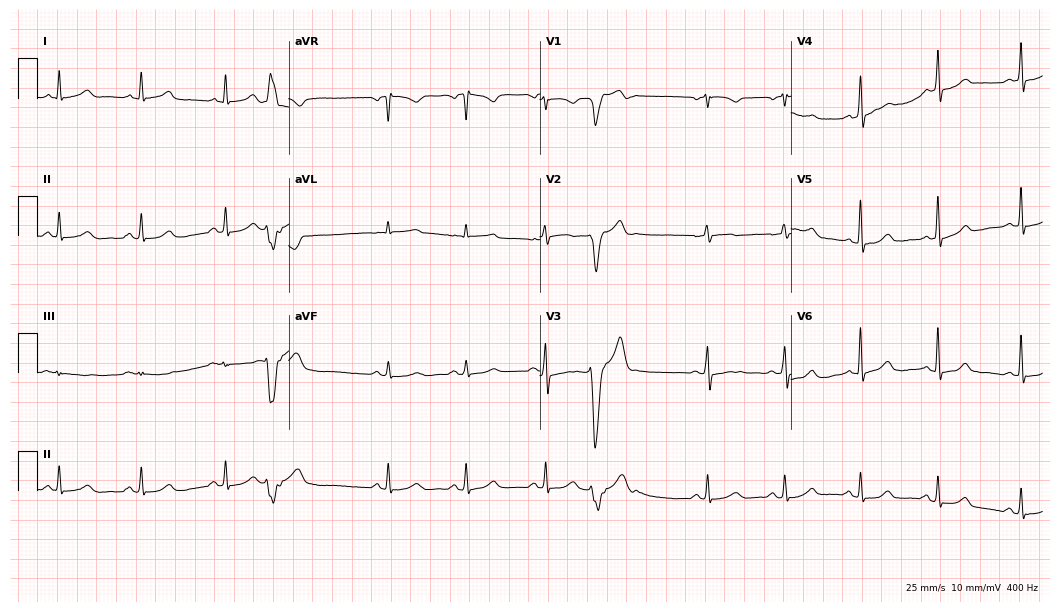
Resting 12-lead electrocardiogram. Patient: a 79-year-old woman. None of these six findings is recorded: first-degree AV block, right bundle branch block, left bundle branch block, sinus bradycardia, atrial fibrillation, sinus tachycardia. Only these six findings were labelled.